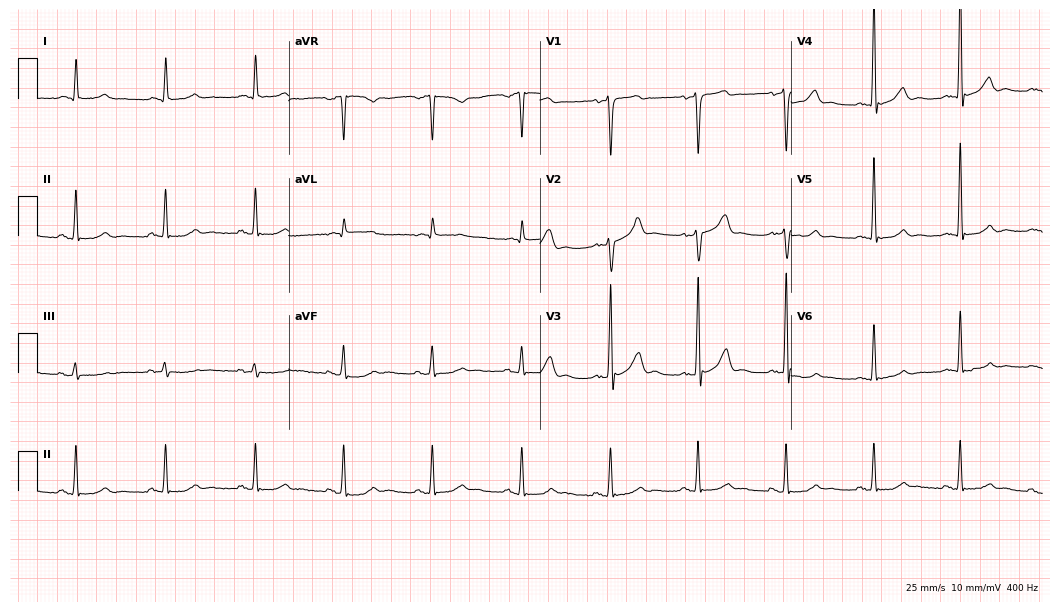
Standard 12-lead ECG recorded from a 61-year-old male patient. Read as a normal ECG.